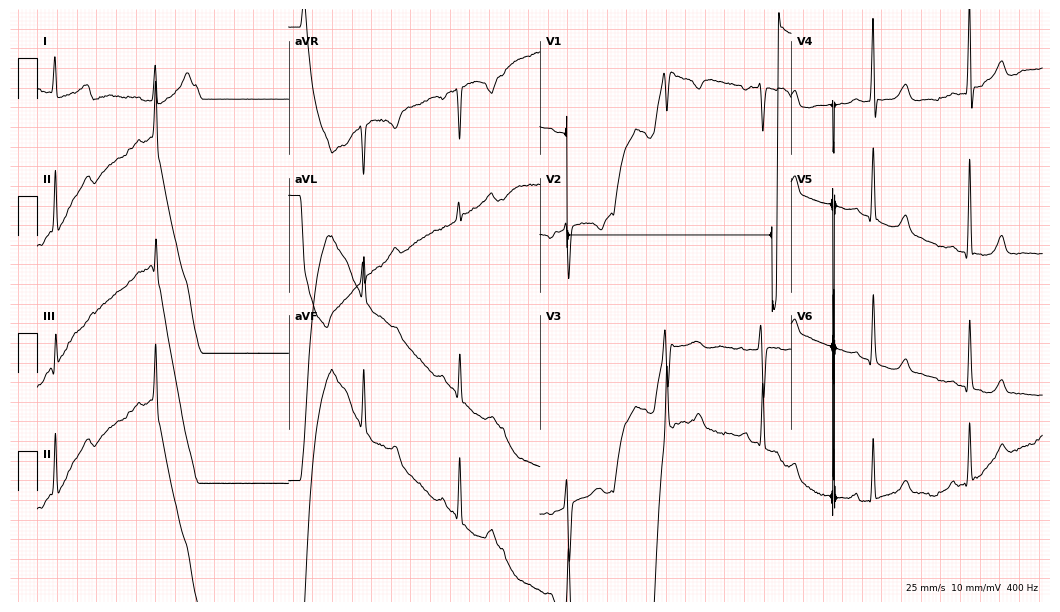
Electrocardiogram (10.2-second recording at 400 Hz), a 39-year-old female. Overall reading on record: normal ECG.